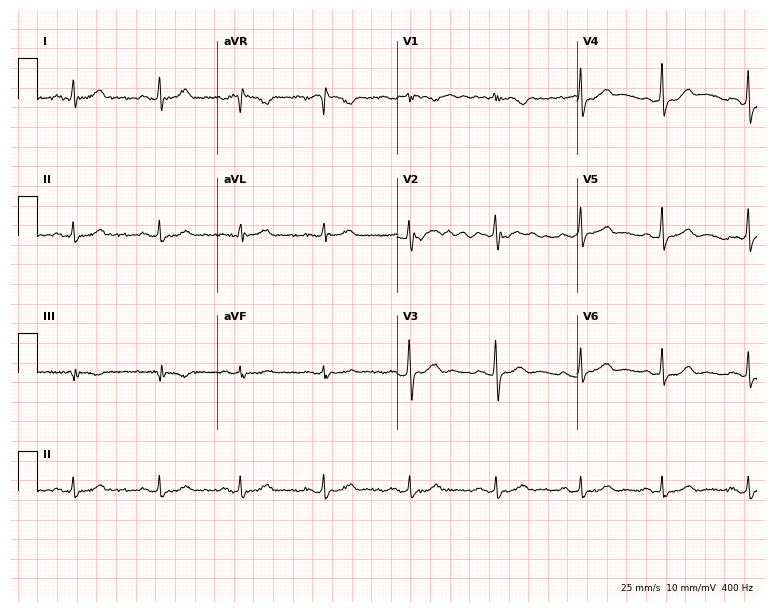
Standard 12-lead ECG recorded from a female, 31 years old. Read as a normal ECG.